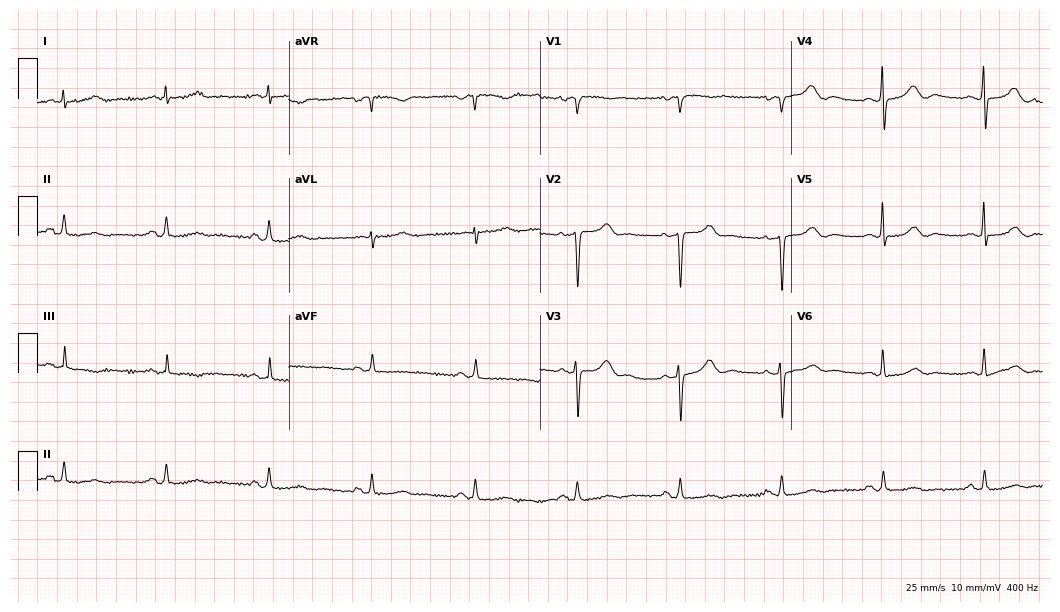
Electrocardiogram, a female, 80 years old. Overall reading on record: normal ECG.